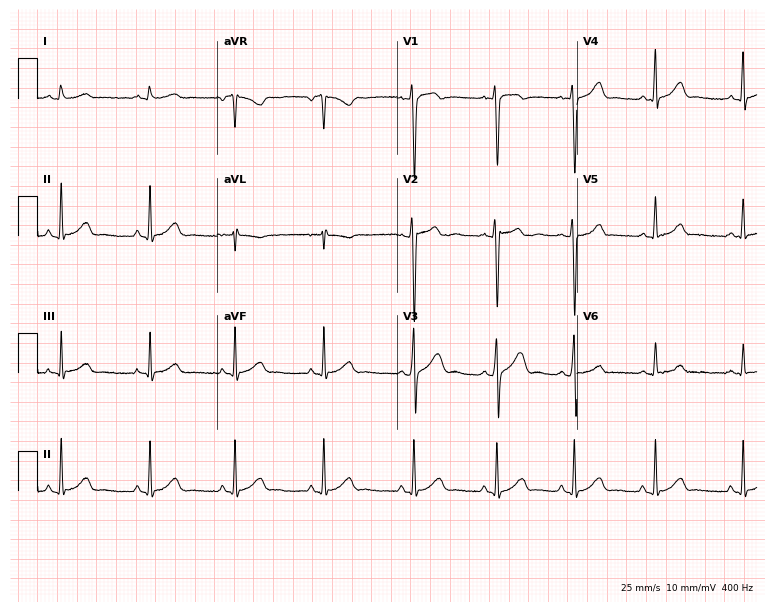
Resting 12-lead electrocardiogram. Patient: a 17-year-old male. Read as a normal ECG.